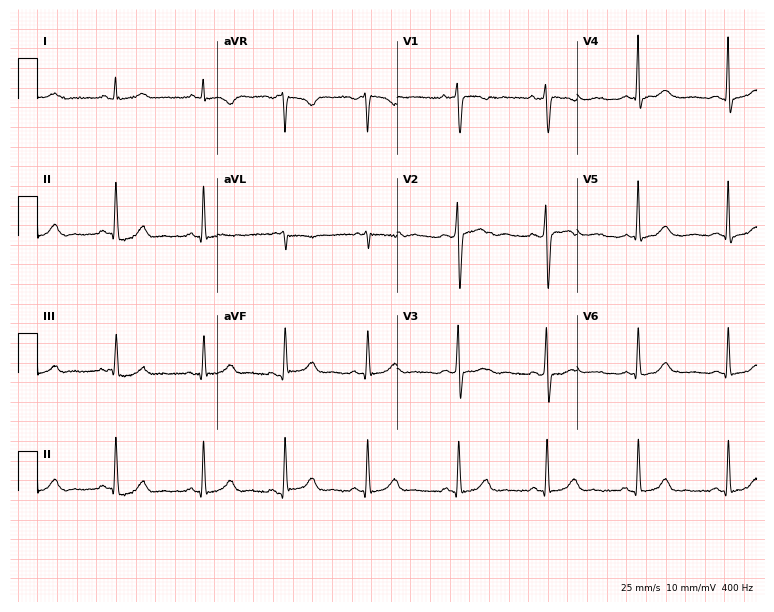
Electrocardiogram (7.3-second recording at 400 Hz), a 33-year-old female. Overall reading on record: normal ECG.